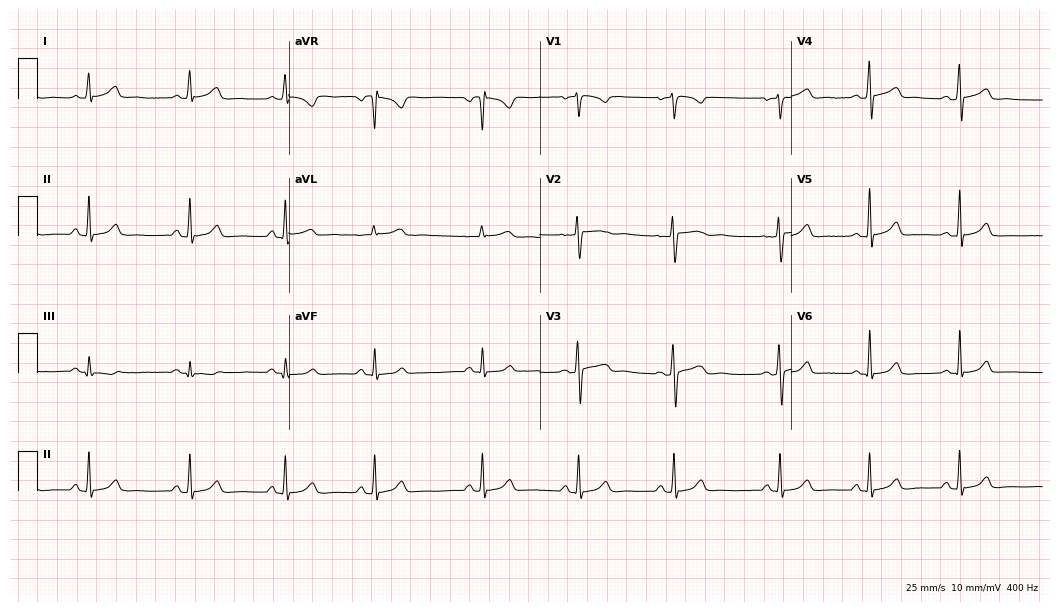
12-lead ECG from a 20-year-old female (10.2-second recording at 400 Hz). No first-degree AV block, right bundle branch block, left bundle branch block, sinus bradycardia, atrial fibrillation or sinus tachycardia recorded for this tracing.